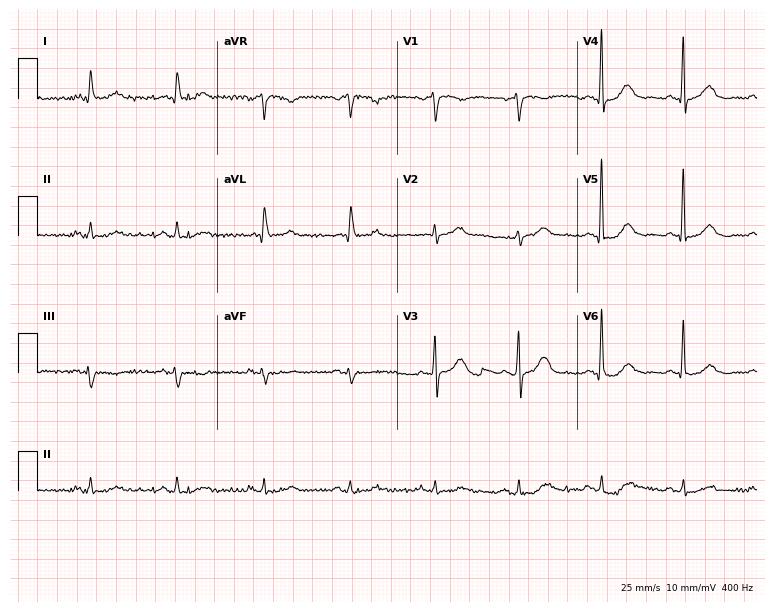
Electrocardiogram (7.3-second recording at 400 Hz), a 76-year-old male. Overall reading on record: normal ECG.